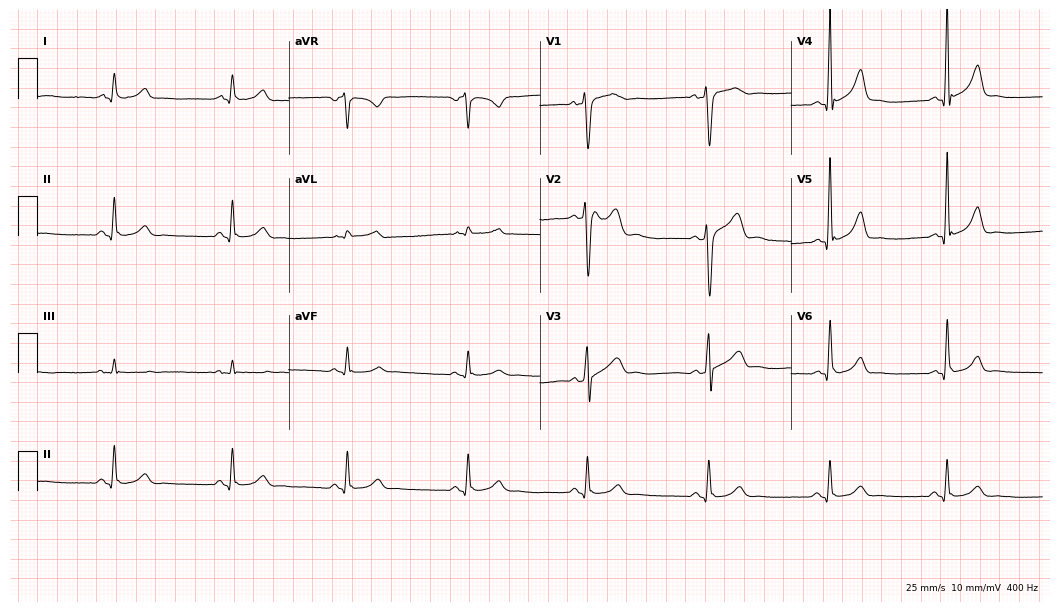
12-lead ECG from a male patient, 46 years old. Labelled as a normal ECG.